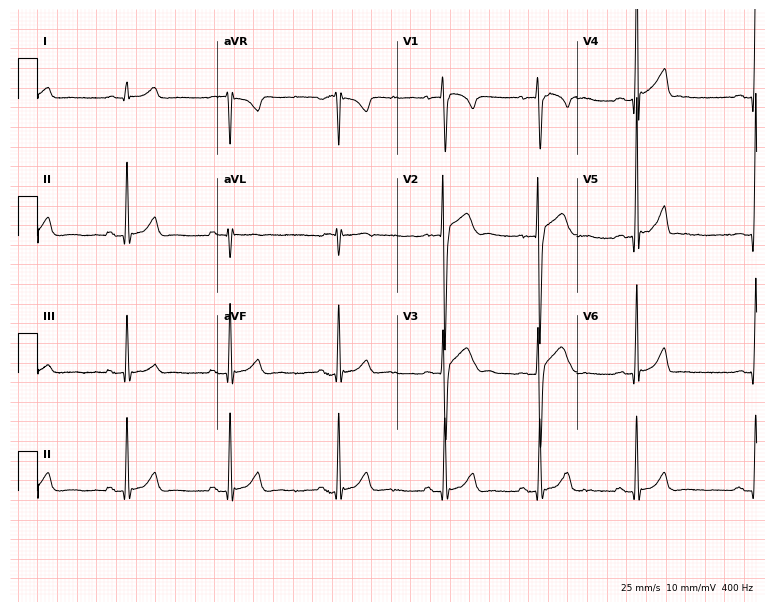
12-lead ECG (7.3-second recording at 400 Hz) from a 19-year-old male patient. Labelled as a normal ECG.